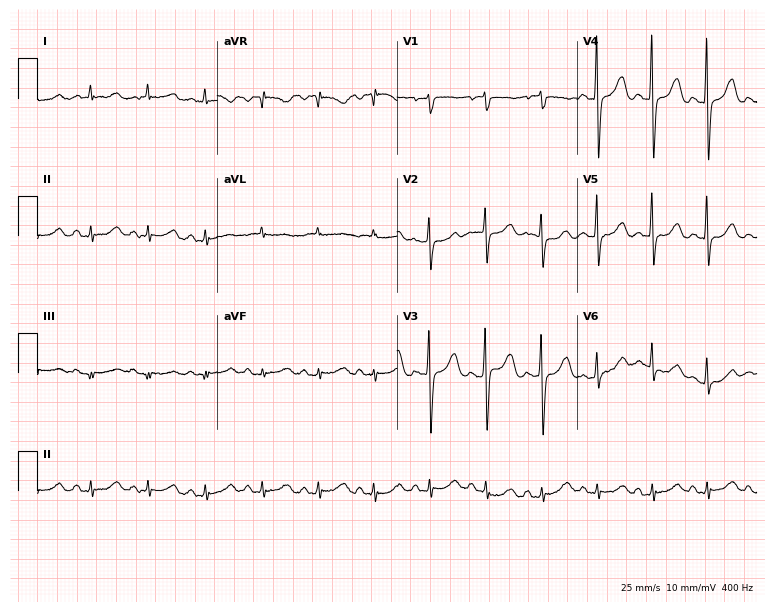
Standard 12-lead ECG recorded from a 51-year-old female patient. The tracing shows sinus tachycardia (a sinus rate of 100 beats per minute or more).